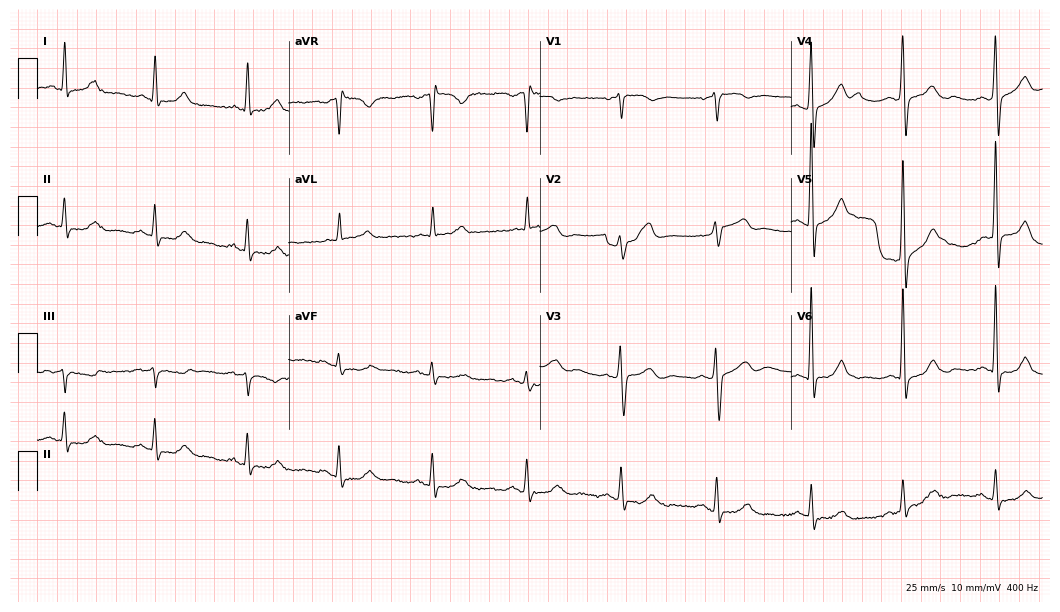
Standard 12-lead ECG recorded from a 75-year-old male patient. None of these six findings is recorded: first-degree AV block, right bundle branch block, left bundle branch block, sinus bradycardia, atrial fibrillation, sinus tachycardia.